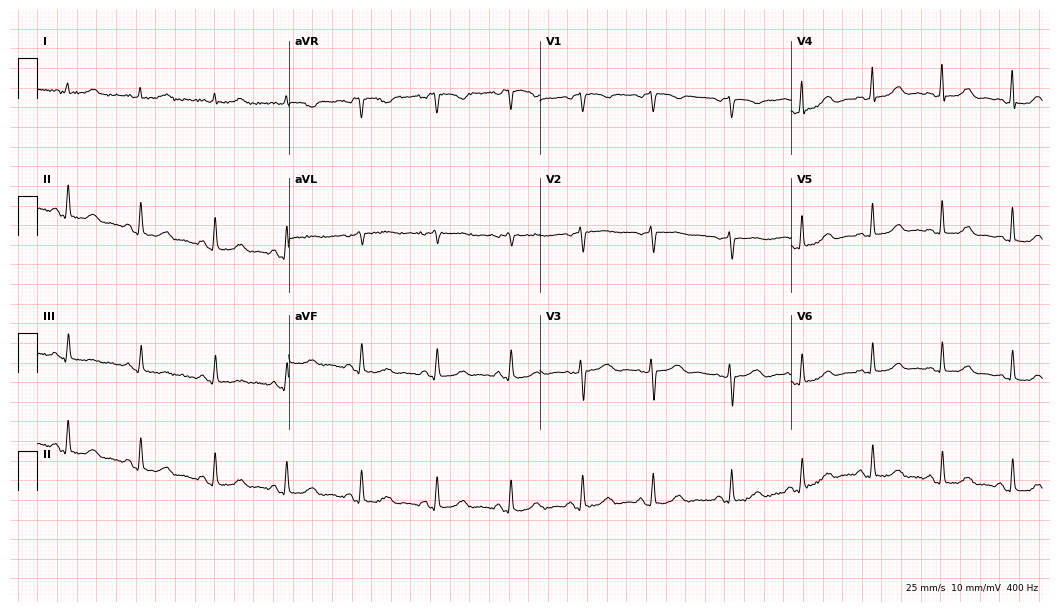
12-lead ECG from a female, 50 years old (10.2-second recording at 400 Hz). Recorded interpretation: within normal limits.